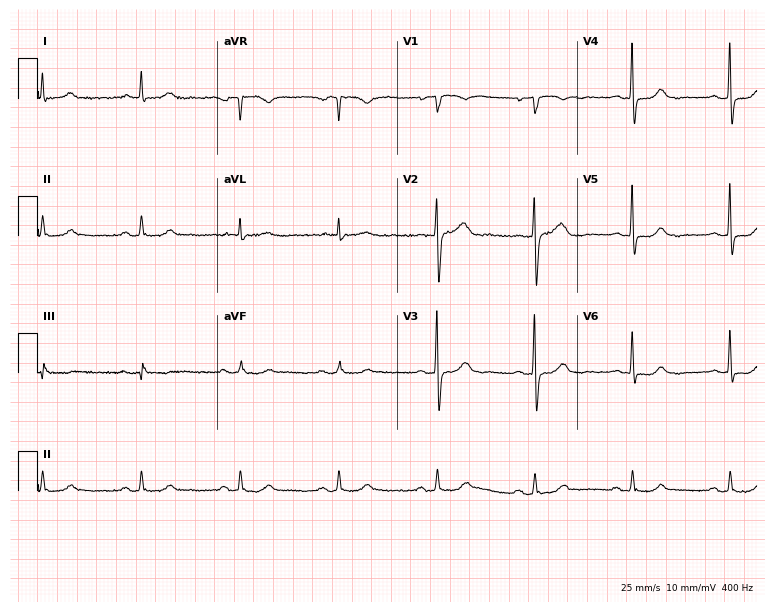
12-lead ECG (7.3-second recording at 400 Hz) from a woman, 72 years old. Labelled as a normal ECG.